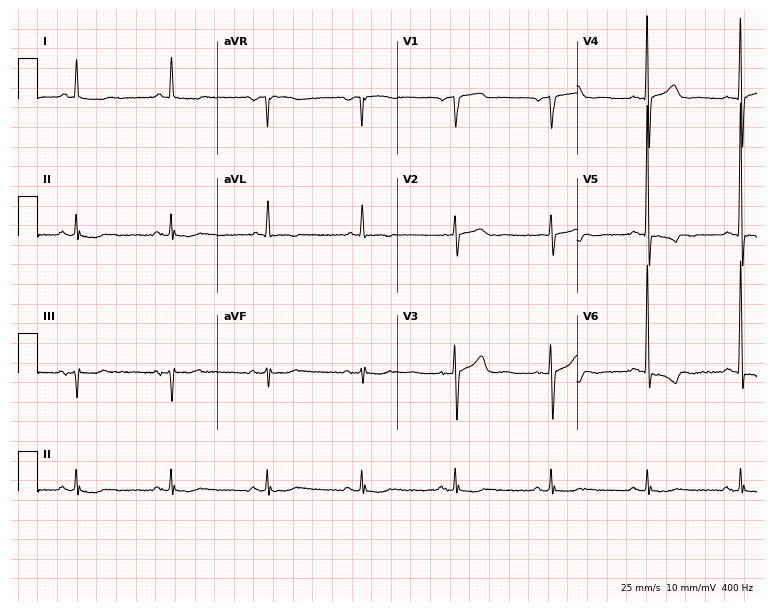
12-lead ECG from a male patient, 70 years old. Screened for six findings — first-degree AV block, right bundle branch block, left bundle branch block, sinus bradycardia, atrial fibrillation, sinus tachycardia — none is recorded. Findings outside these six are not listed.